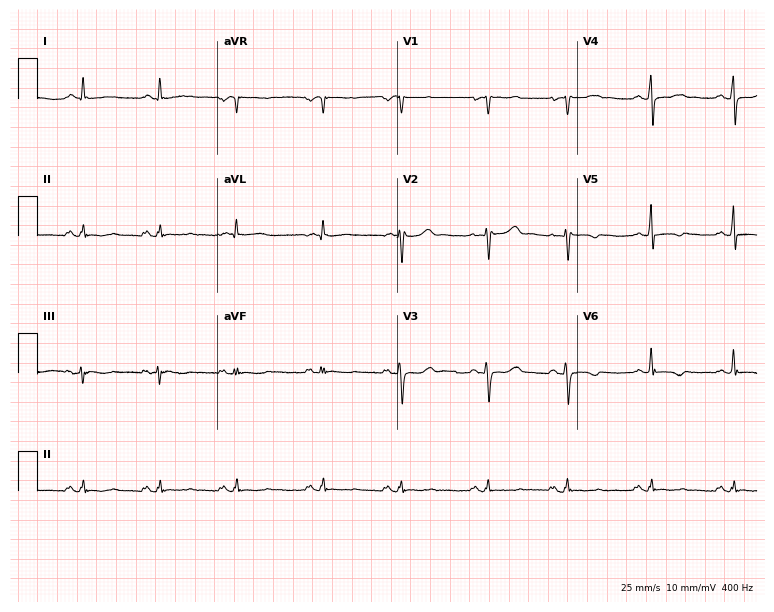
12-lead ECG from a 57-year-old female. Screened for six findings — first-degree AV block, right bundle branch block (RBBB), left bundle branch block (LBBB), sinus bradycardia, atrial fibrillation (AF), sinus tachycardia — none is recorded. Other findings, if any, are not listed.